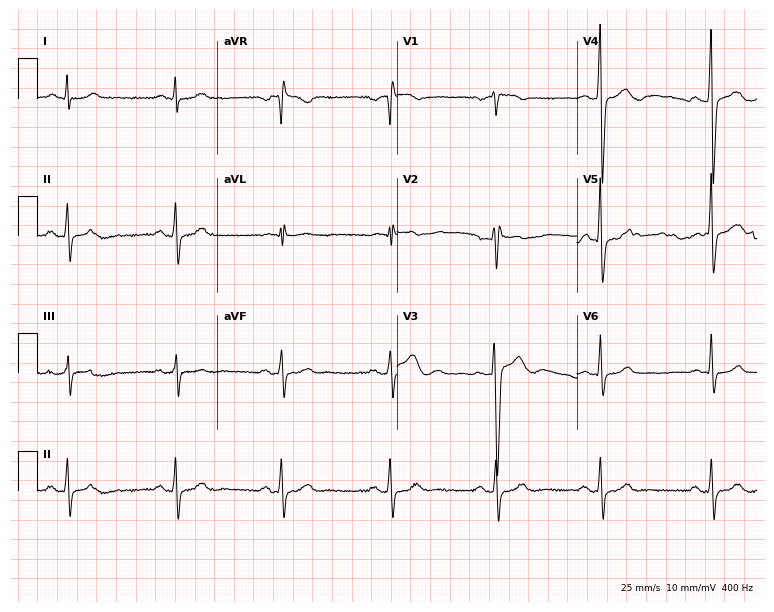
12-lead ECG (7.3-second recording at 400 Hz) from a male, 40 years old. Labelled as a normal ECG.